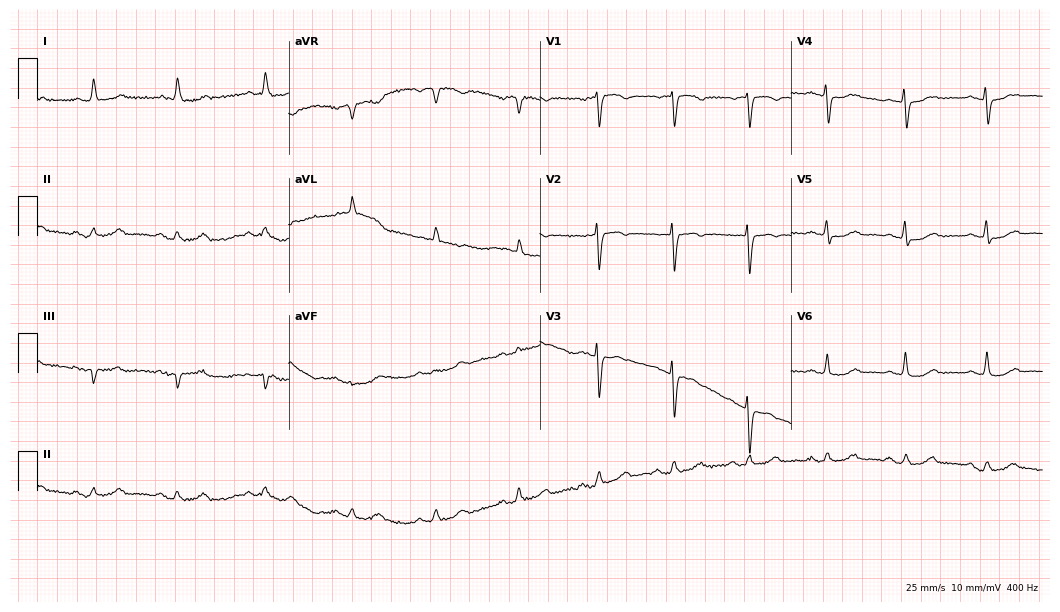
Standard 12-lead ECG recorded from an 81-year-old female patient. None of these six findings is recorded: first-degree AV block, right bundle branch block, left bundle branch block, sinus bradycardia, atrial fibrillation, sinus tachycardia.